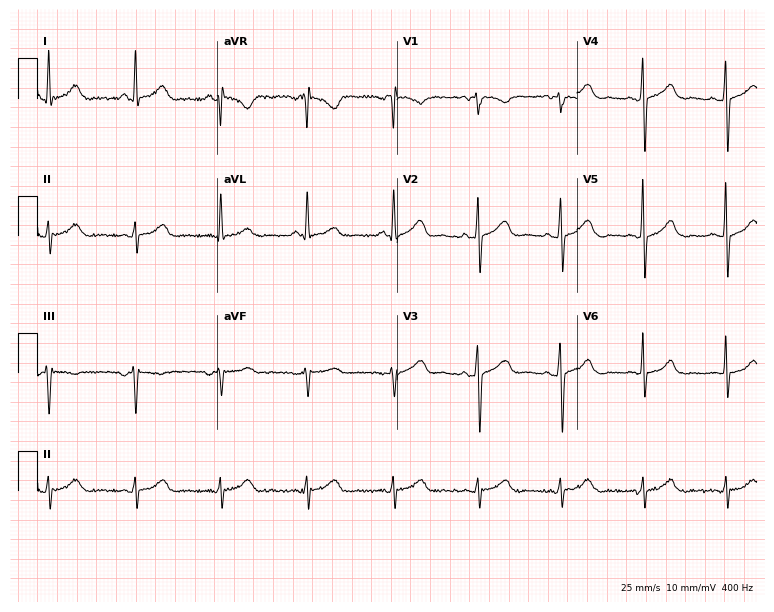
Resting 12-lead electrocardiogram. Patient: a woman, 58 years old. None of these six findings is recorded: first-degree AV block, right bundle branch block, left bundle branch block, sinus bradycardia, atrial fibrillation, sinus tachycardia. Only these six findings were labelled.